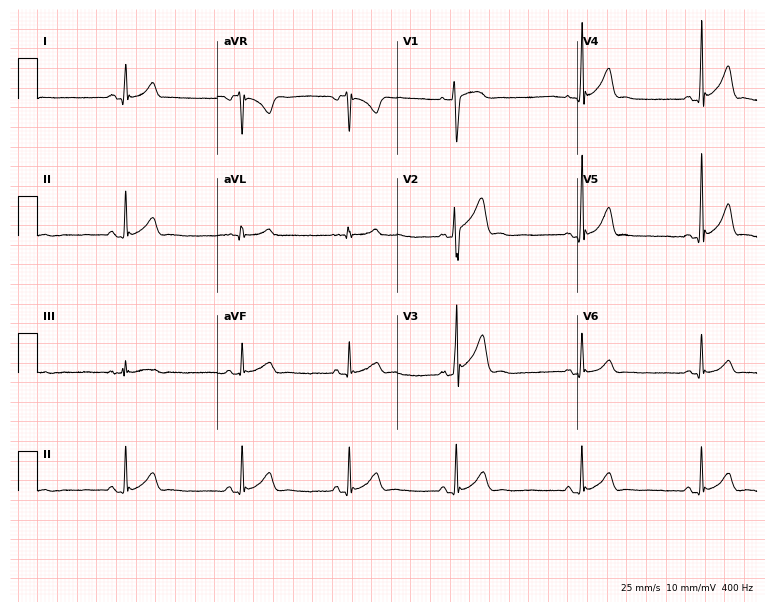
Resting 12-lead electrocardiogram. Patient: a male, 24 years old. None of these six findings is recorded: first-degree AV block, right bundle branch block, left bundle branch block, sinus bradycardia, atrial fibrillation, sinus tachycardia.